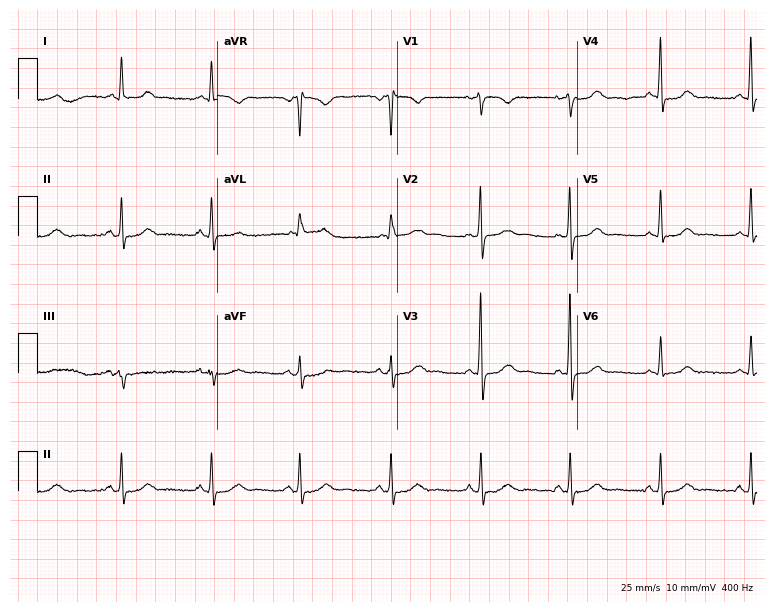
Resting 12-lead electrocardiogram (7.3-second recording at 400 Hz). Patient: a 58-year-old female. Read as a normal ECG.